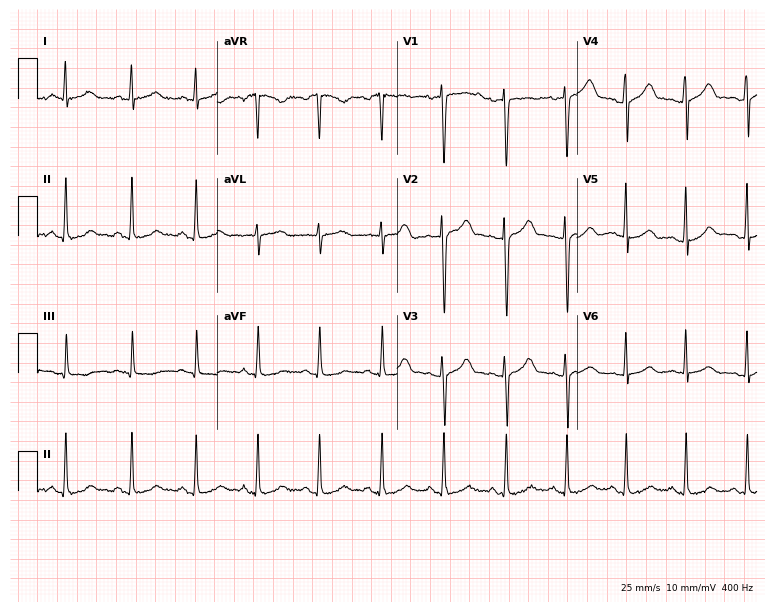
Resting 12-lead electrocardiogram (7.3-second recording at 400 Hz). Patient: a woman, 30 years old. None of these six findings is recorded: first-degree AV block, right bundle branch block, left bundle branch block, sinus bradycardia, atrial fibrillation, sinus tachycardia.